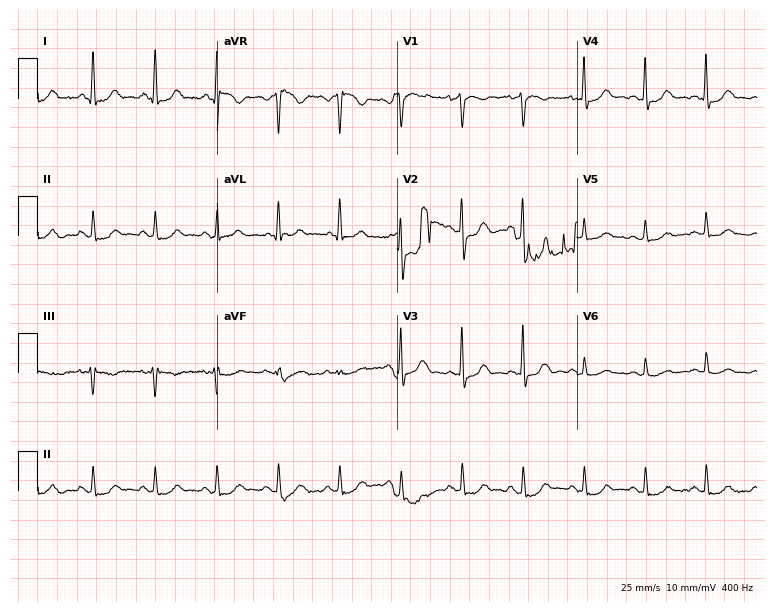
12-lead ECG (7.3-second recording at 400 Hz) from a woman, 68 years old. Screened for six findings — first-degree AV block, right bundle branch block, left bundle branch block, sinus bradycardia, atrial fibrillation, sinus tachycardia — none is recorded.